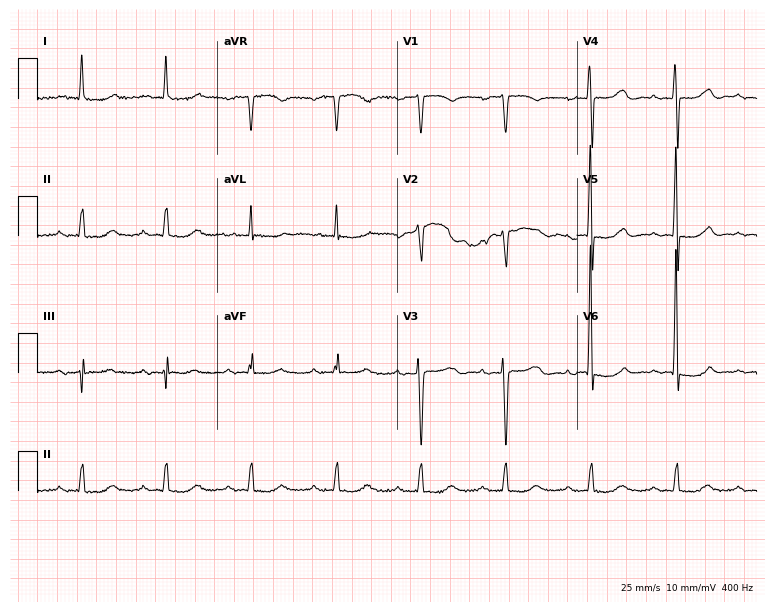
Standard 12-lead ECG recorded from an 82-year-old female patient (7.3-second recording at 400 Hz). The tracing shows first-degree AV block.